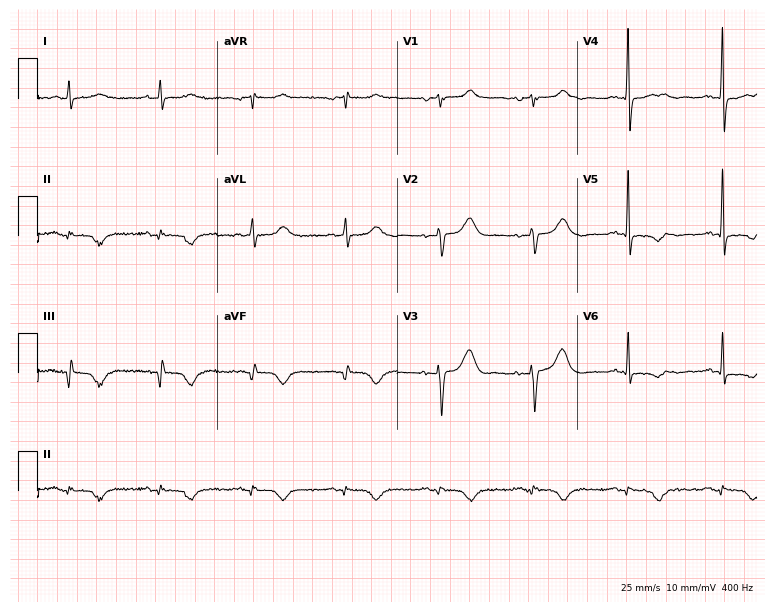
12-lead ECG from a 61-year-old male patient. Labelled as a normal ECG.